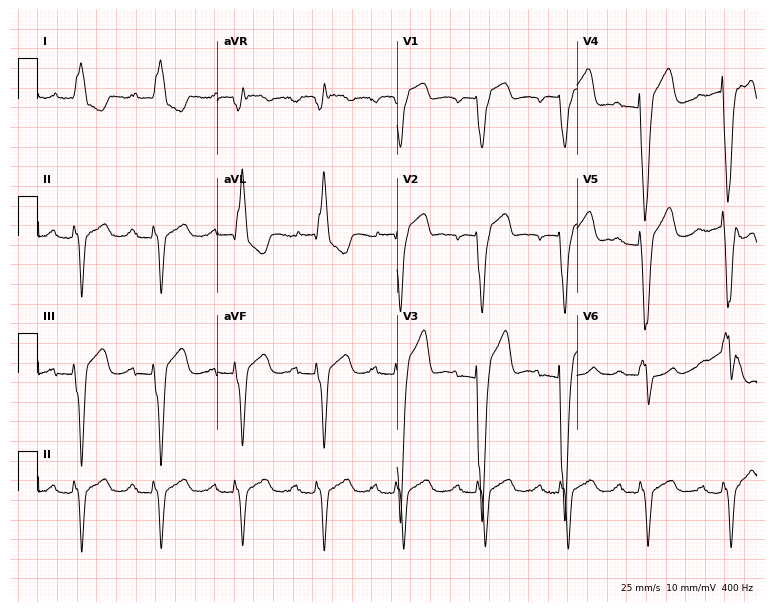
Electrocardiogram, an 82-year-old woman. Interpretation includes left bundle branch block.